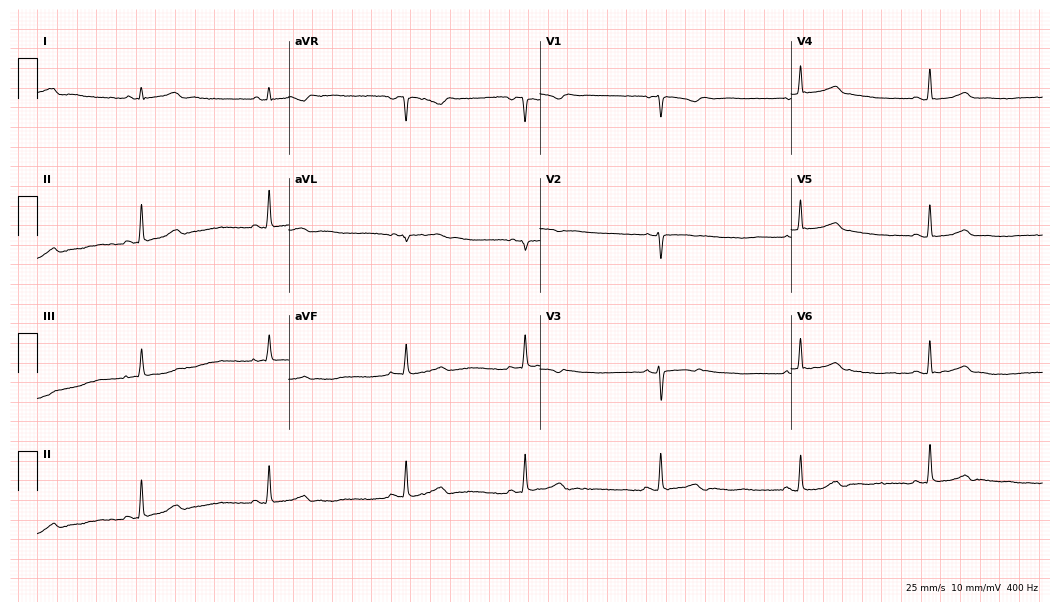
12-lead ECG from a female patient, 20 years old. Screened for six findings — first-degree AV block, right bundle branch block, left bundle branch block, sinus bradycardia, atrial fibrillation, sinus tachycardia — none is recorded. Other findings, if any, are not listed.